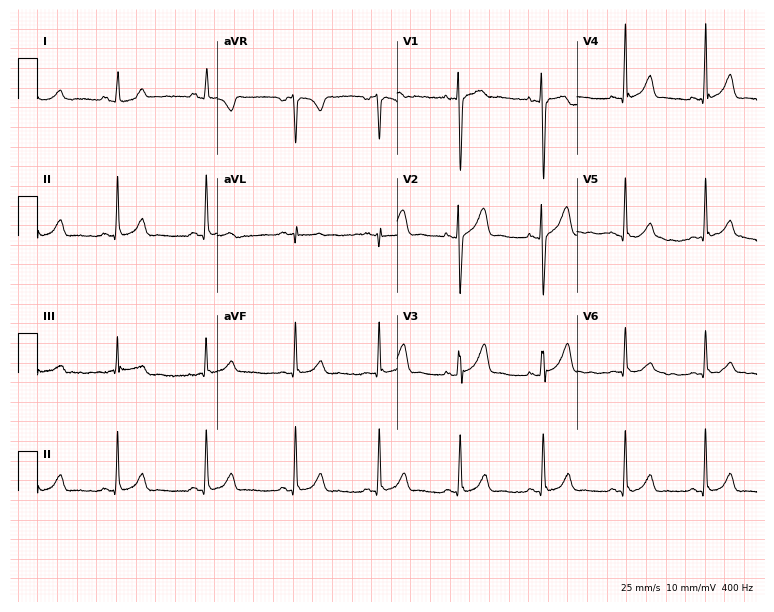
Standard 12-lead ECG recorded from an 18-year-old female patient. None of these six findings is recorded: first-degree AV block, right bundle branch block, left bundle branch block, sinus bradycardia, atrial fibrillation, sinus tachycardia. Only these six findings were labelled.